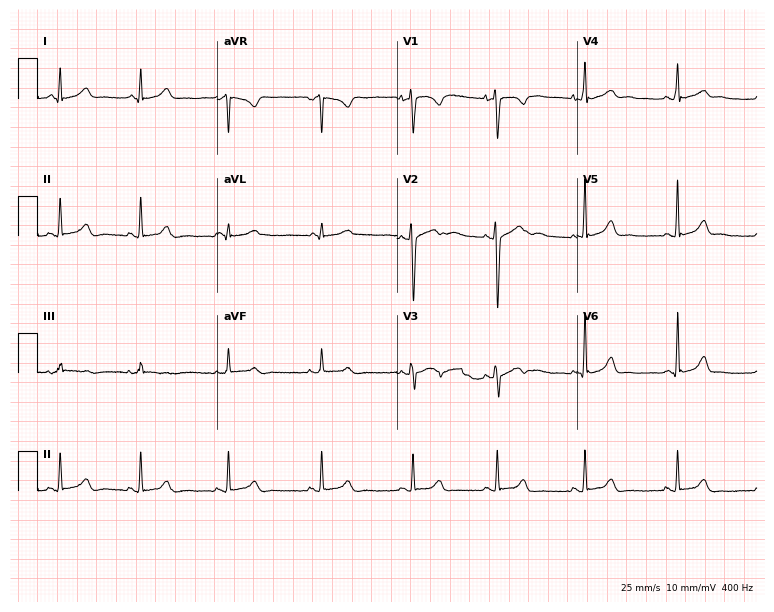
12-lead ECG (7.3-second recording at 400 Hz) from a 23-year-old woman. Screened for six findings — first-degree AV block, right bundle branch block (RBBB), left bundle branch block (LBBB), sinus bradycardia, atrial fibrillation (AF), sinus tachycardia — none is recorded. Only these six findings were labelled.